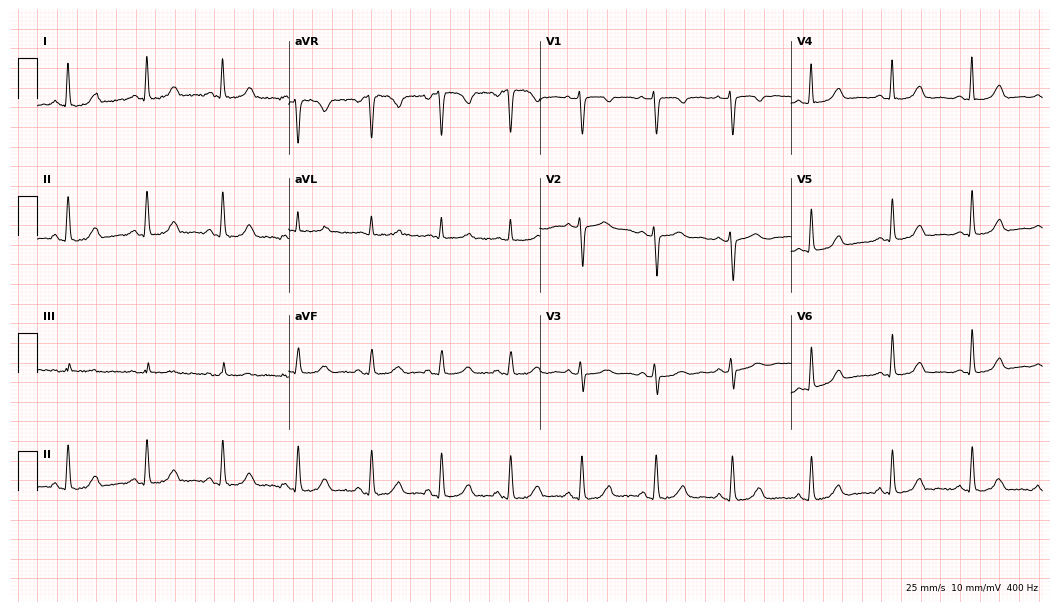
Standard 12-lead ECG recorded from a 46-year-old woman (10.2-second recording at 400 Hz). None of these six findings is recorded: first-degree AV block, right bundle branch block (RBBB), left bundle branch block (LBBB), sinus bradycardia, atrial fibrillation (AF), sinus tachycardia. Only these six findings were labelled.